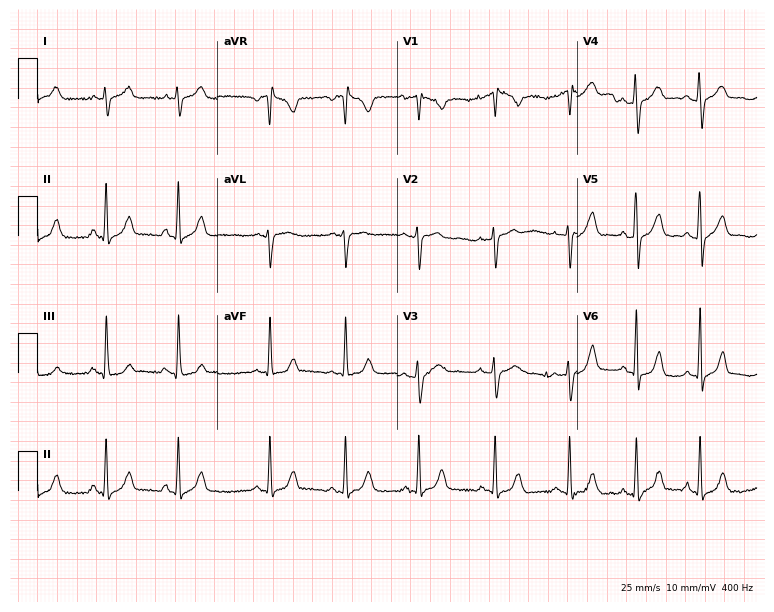
12-lead ECG from a woman, 21 years old. No first-degree AV block, right bundle branch block, left bundle branch block, sinus bradycardia, atrial fibrillation or sinus tachycardia recorded for this tracing.